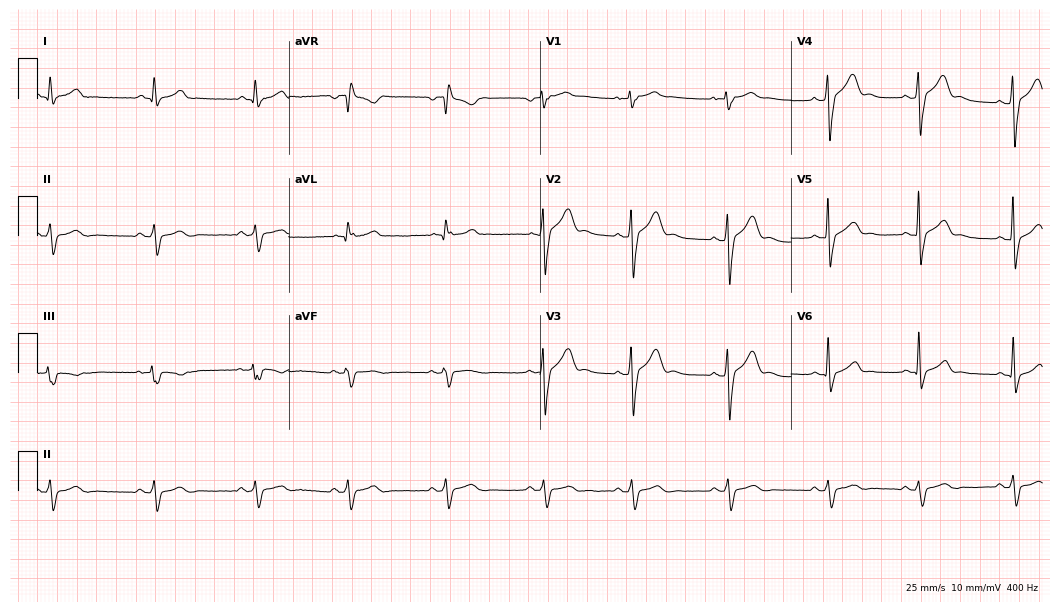
Electrocardiogram (10.2-second recording at 400 Hz), a 32-year-old male. Of the six screened findings (first-degree AV block, right bundle branch block, left bundle branch block, sinus bradycardia, atrial fibrillation, sinus tachycardia), none is recorded.